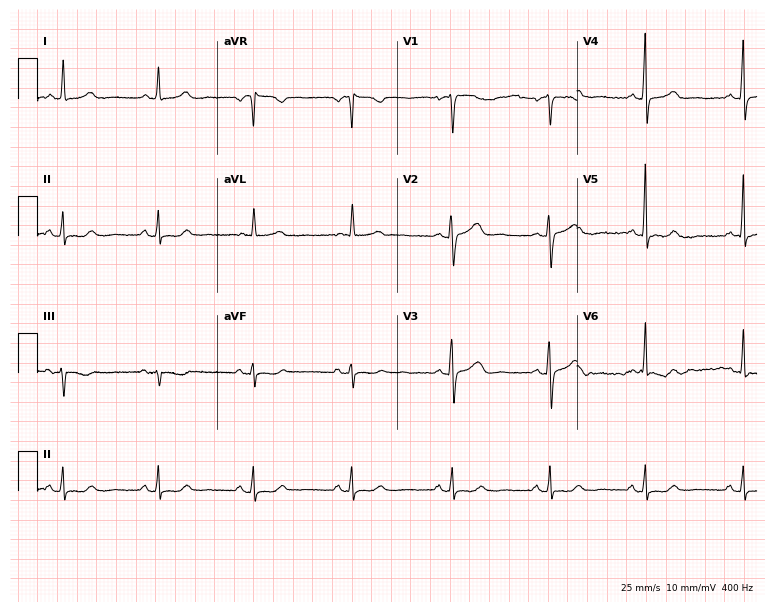
Resting 12-lead electrocardiogram (7.3-second recording at 400 Hz). Patient: a 56-year-old female. None of these six findings is recorded: first-degree AV block, right bundle branch block, left bundle branch block, sinus bradycardia, atrial fibrillation, sinus tachycardia.